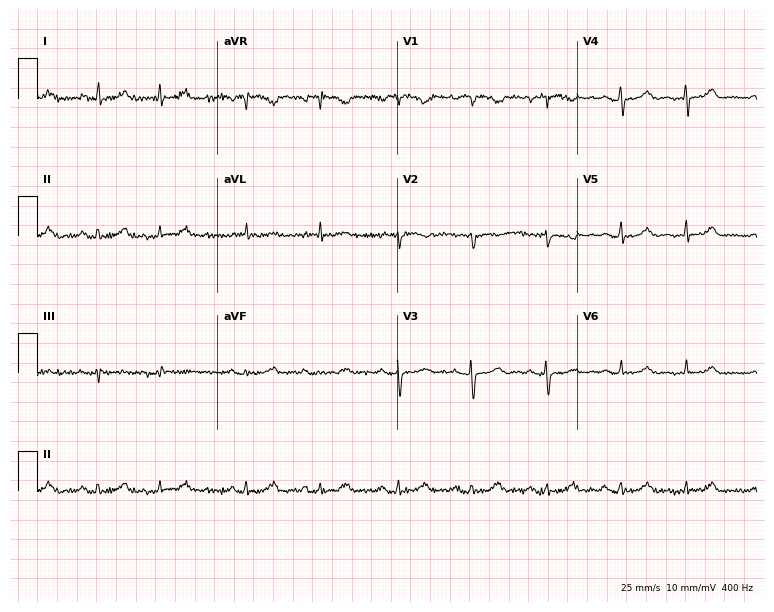
Standard 12-lead ECG recorded from an 82-year-old female patient. Read as a normal ECG.